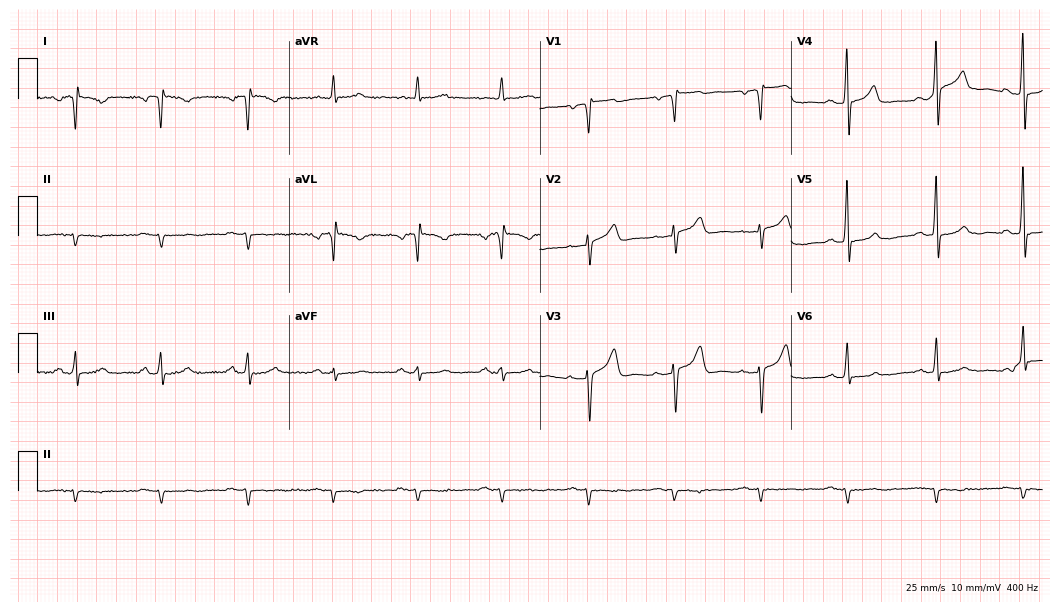
12-lead ECG (10.2-second recording at 400 Hz) from a 63-year-old male patient. Labelled as a normal ECG.